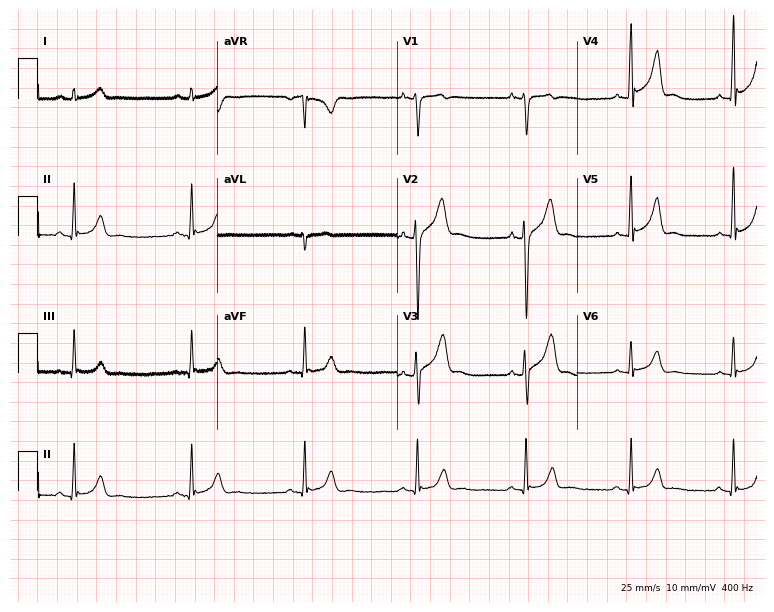
Electrocardiogram, a male, 28 years old. Of the six screened findings (first-degree AV block, right bundle branch block, left bundle branch block, sinus bradycardia, atrial fibrillation, sinus tachycardia), none is recorded.